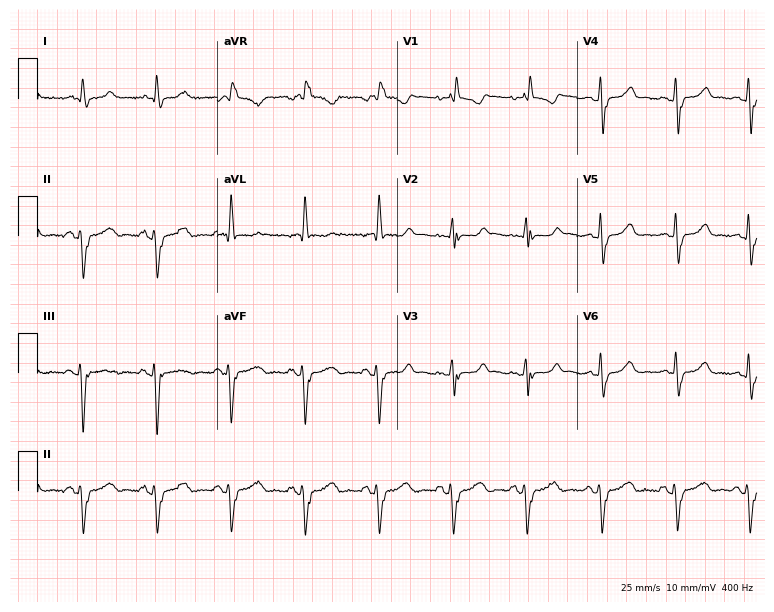
ECG (7.3-second recording at 400 Hz) — a female patient, 63 years old. Findings include right bundle branch block.